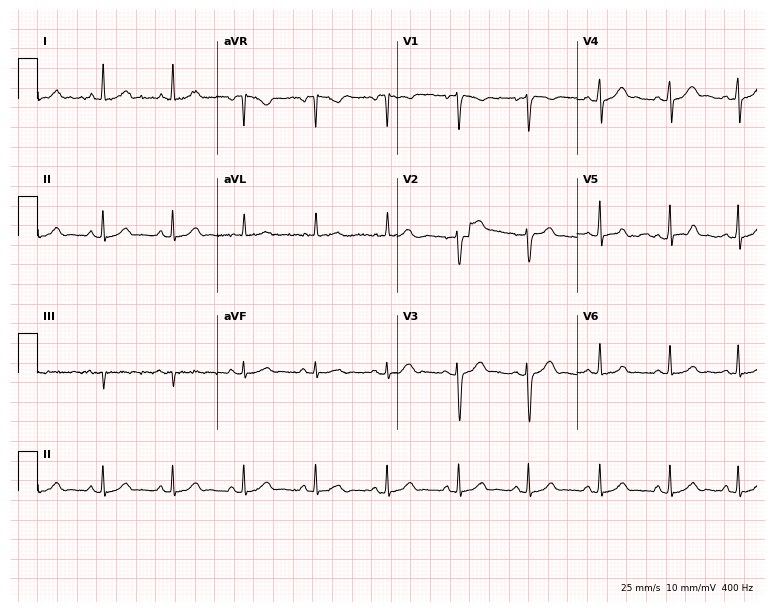
Standard 12-lead ECG recorded from a woman, 35 years old (7.3-second recording at 400 Hz). Read as a normal ECG.